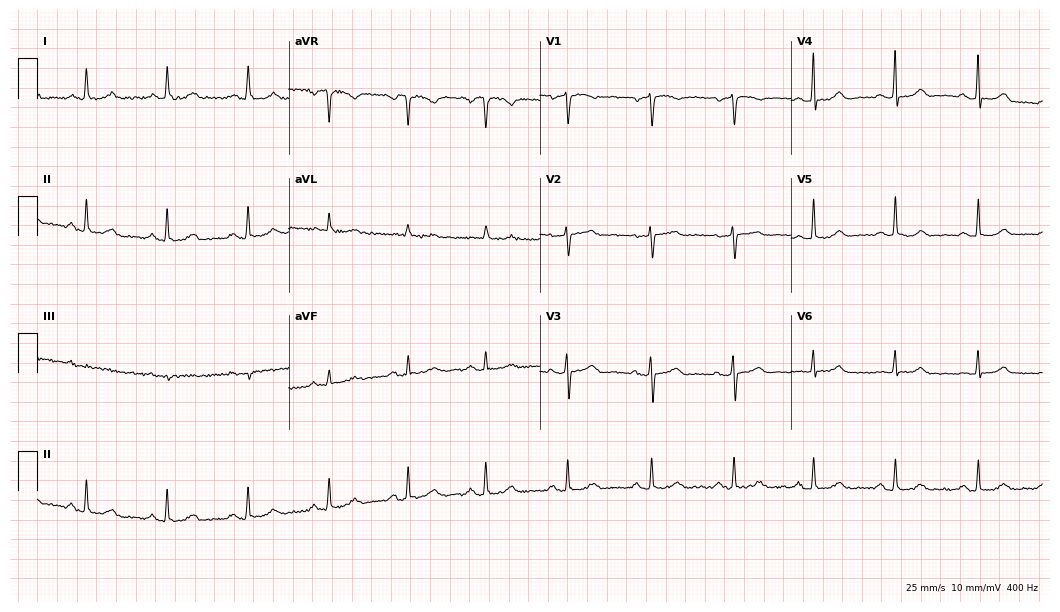
ECG (10.2-second recording at 400 Hz) — a female patient, 65 years old. Labelled as a normal ECG.